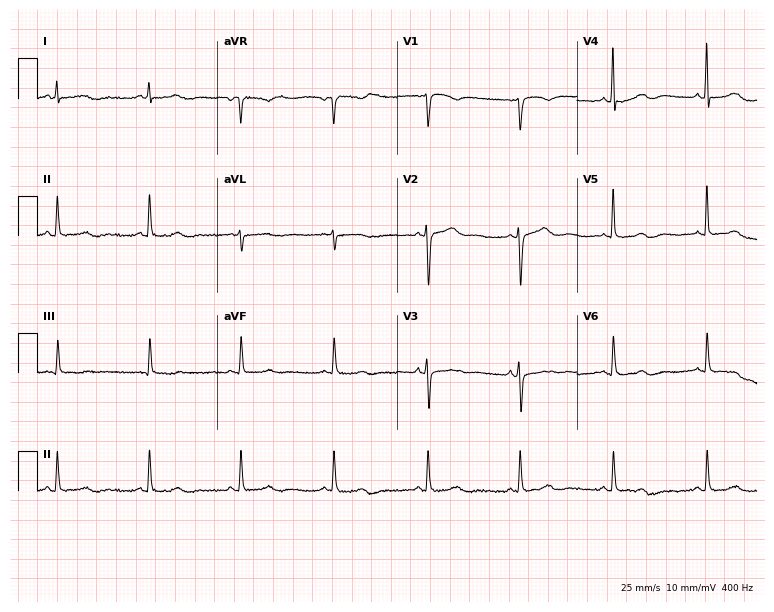
12-lead ECG (7.3-second recording at 400 Hz) from a 77-year-old female. Labelled as a normal ECG.